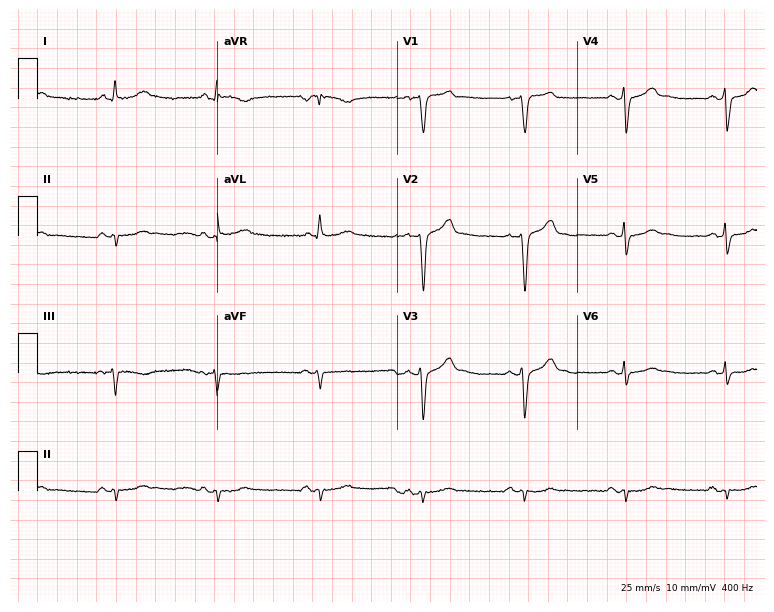
Resting 12-lead electrocardiogram (7.3-second recording at 400 Hz). Patient: a female, 61 years old. None of these six findings is recorded: first-degree AV block, right bundle branch block, left bundle branch block, sinus bradycardia, atrial fibrillation, sinus tachycardia.